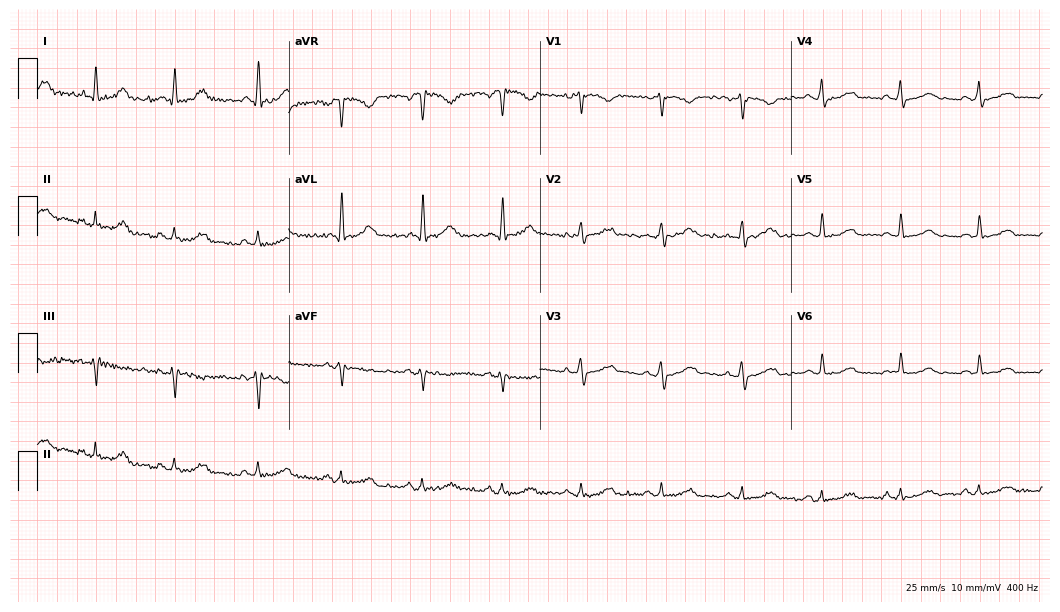
12-lead ECG from a 58-year-old woman. Recorded interpretation: within normal limits.